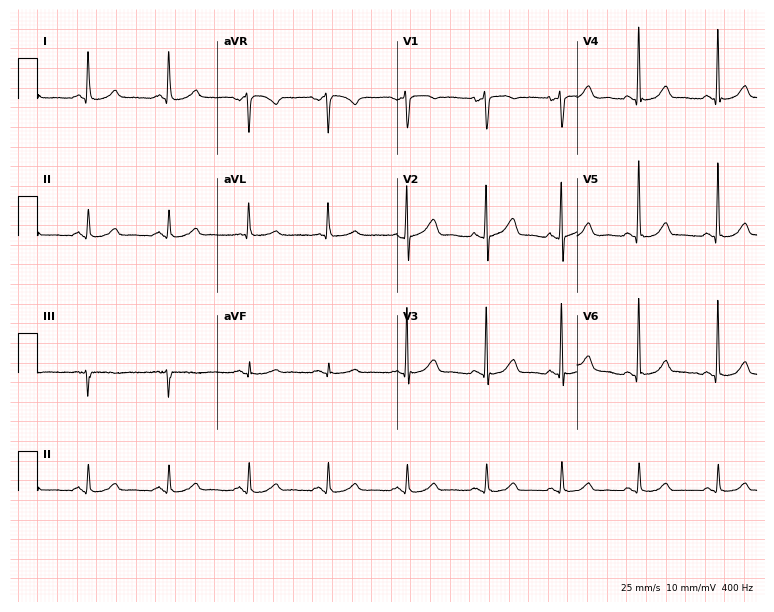
Electrocardiogram (7.3-second recording at 400 Hz), a 61-year-old woman. Overall reading on record: normal ECG.